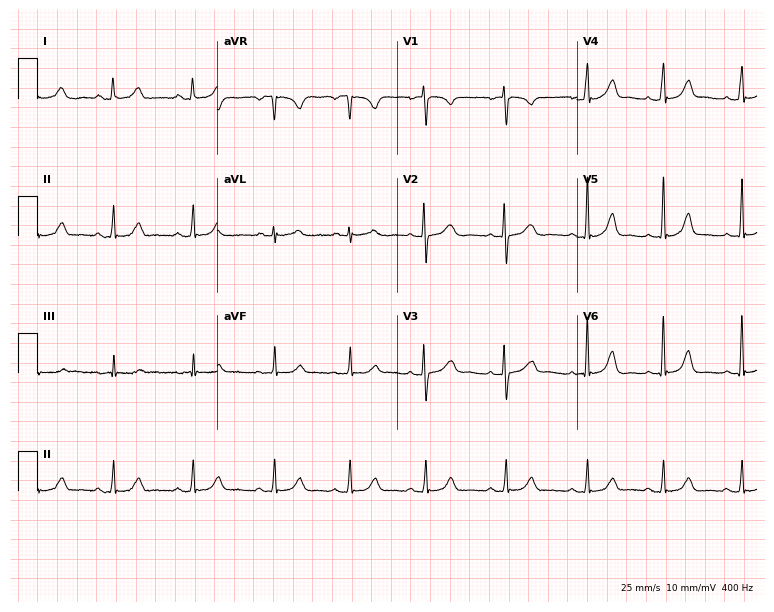
12-lead ECG (7.3-second recording at 400 Hz) from a woman, 24 years old. Labelled as a normal ECG.